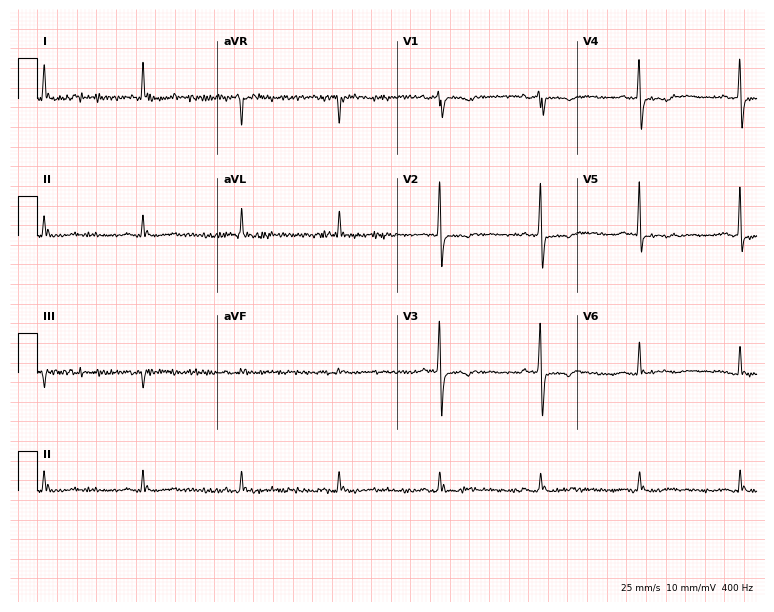
Electrocardiogram, a 78-year-old female. Of the six screened findings (first-degree AV block, right bundle branch block, left bundle branch block, sinus bradycardia, atrial fibrillation, sinus tachycardia), none is recorded. Only these six findings were labelled.